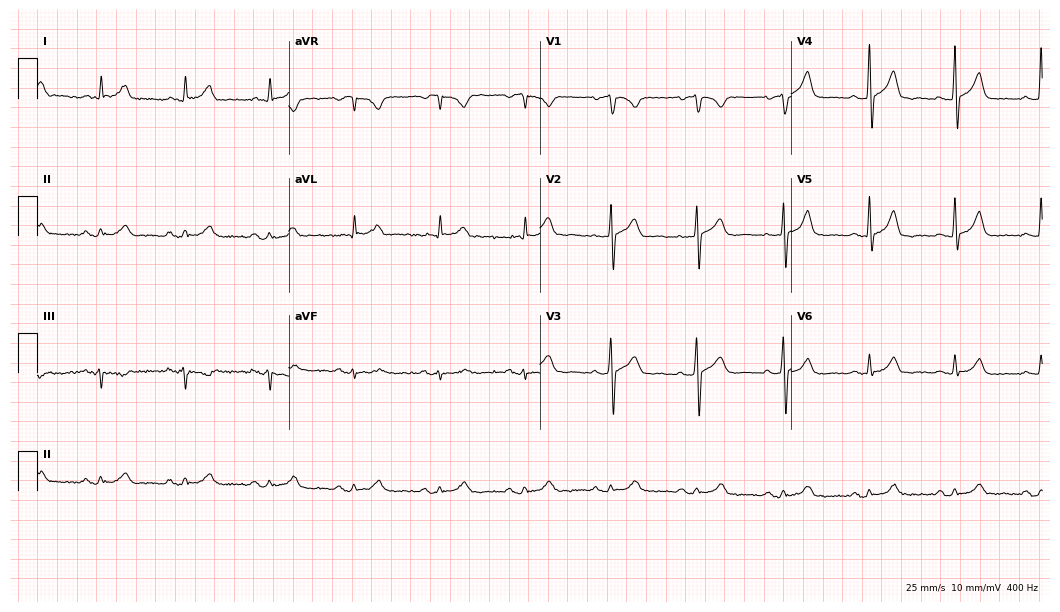
12-lead ECG from a male patient, 68 years old (10.2-second recording at 400 Hz). Recorded interpretation: within normal limits.